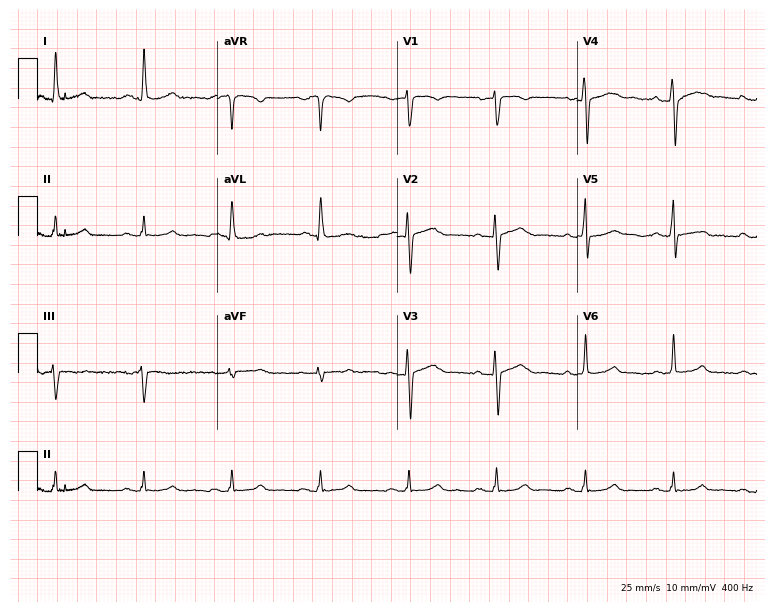
Resting 12-lead electrocardiogram. Patient: a male, 49 years old. Read as a normal ECG.